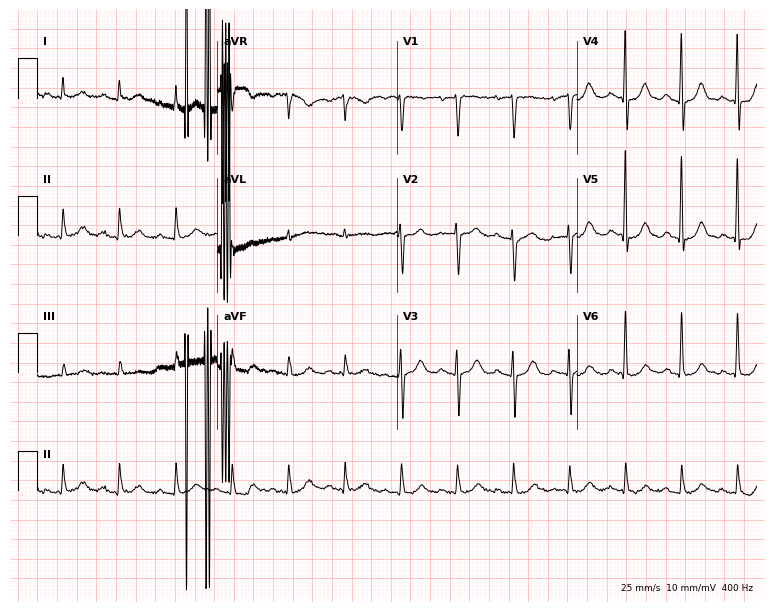
Electrocardiogram (7.3-second recording at 400 Hz), an 85-year-old female. Interpretation includes sinus tachycardia (a sinus rate of 100 beats per minute or more).